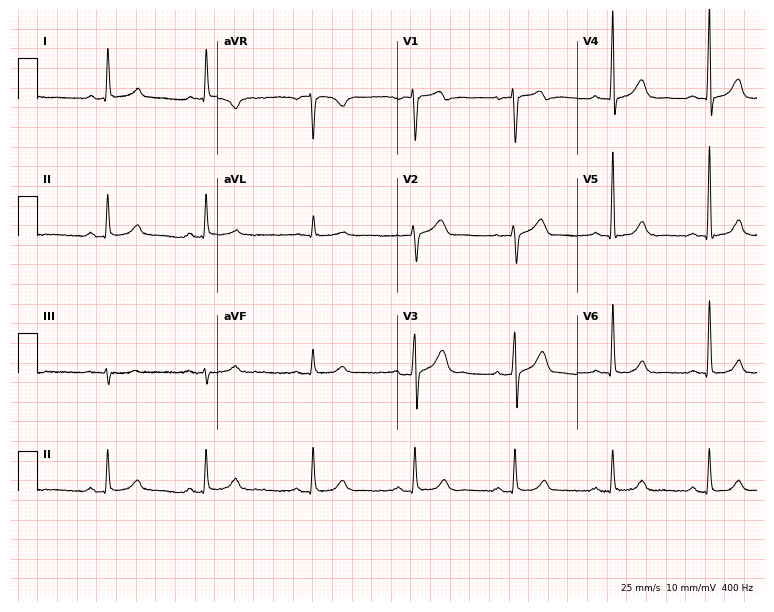
Standard 12-lead ECG recorded from a 71-year-old man. Read as a normal ECG.